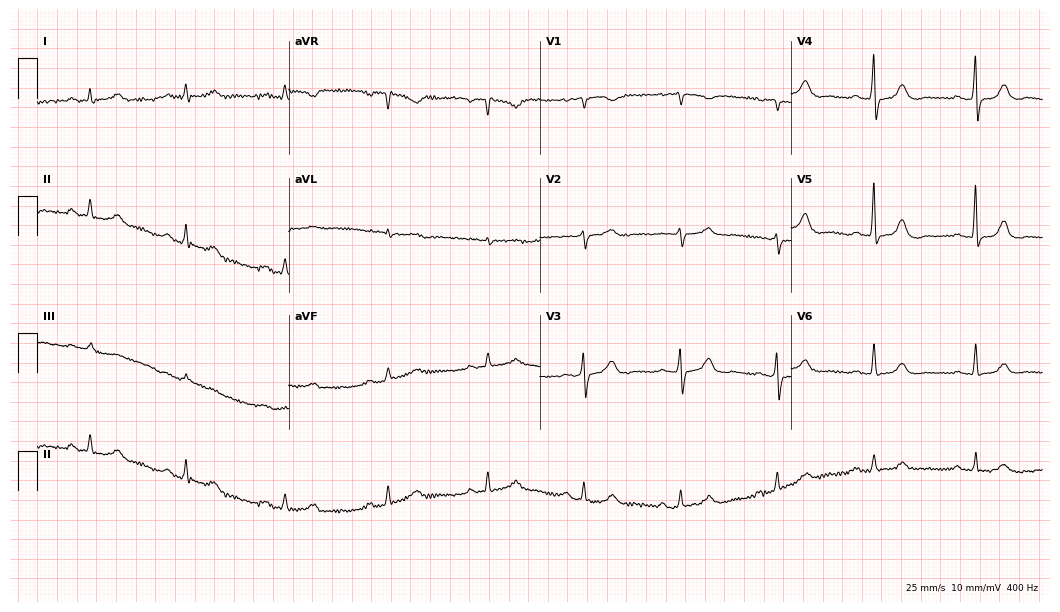
Resting 12-lead electrocardiogram. Patient: a woman, 80 years old. Read as a normal ECG.